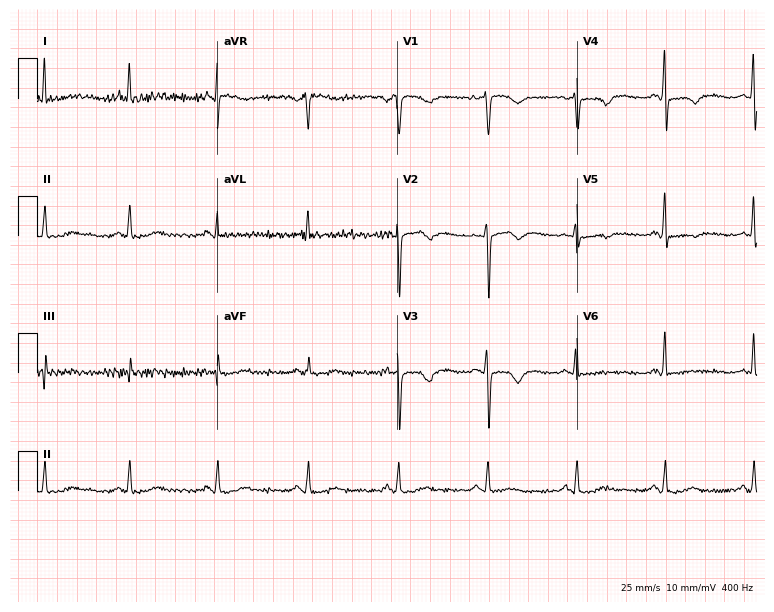
Standard 12-lead ECG recorded from a female patient, 53 years old (7.3-second recording at 400 Hz). None of these six findings is recorded: first-degree AV block, right bundle branch block, left bundle branch block, sinus bradycardia, atrial fibrillation, sinus tachycardia.